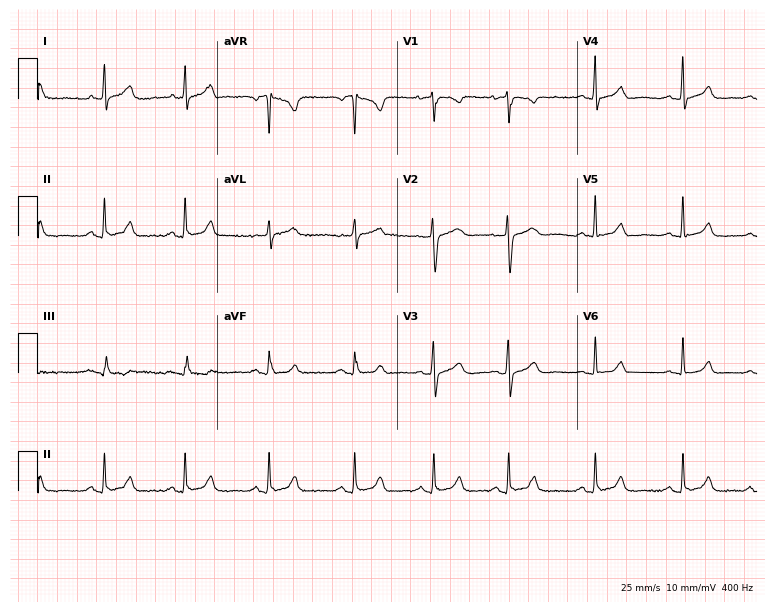
Electrocardiogram, a female, 41 years old. Of the six screened findings (first-degree AV block, right bundle branch block (RBBB), left bundle branch block (LBBB), sinus bradycardia, atrial fibrillation (AF), sinus tachycardia), none is recorded.